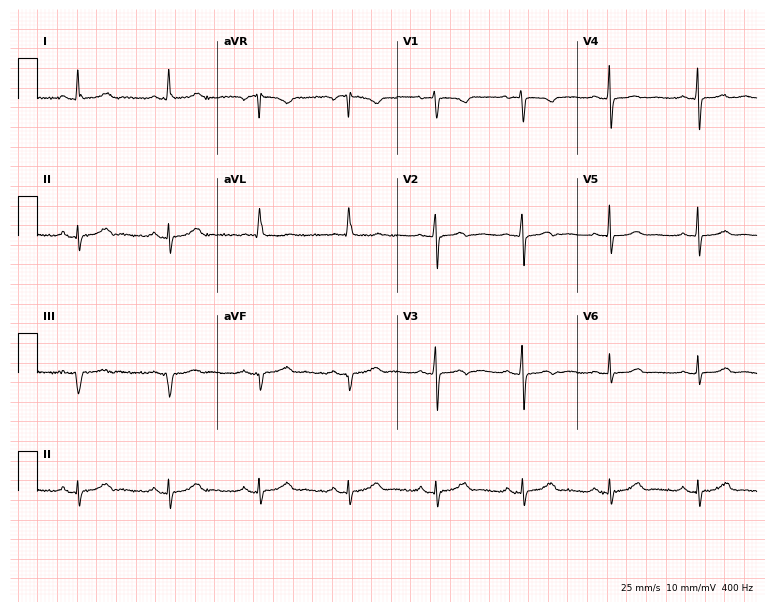
12-lead ECG (7.3-second recording at 400 Hz) from a woman, 61 years old. Screened for six findings — first-degree AV block, right bundle branch block, left bundle branch block, sinus bradycardia, atrial fibrillation, sinus tachycardia — none is recorded. Only these six findings were labelled.